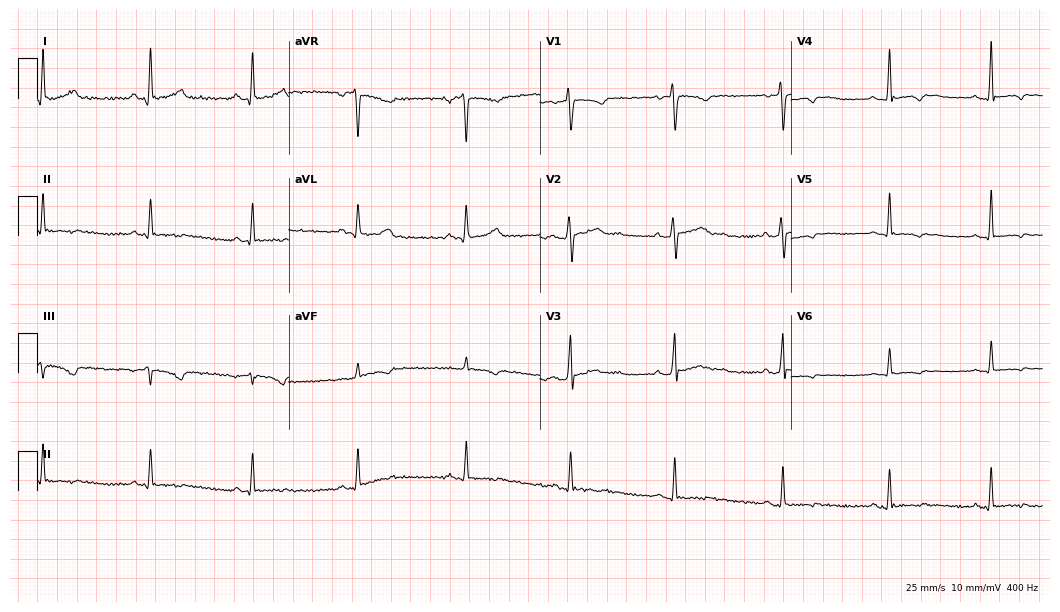
Standard 12-lead ECG recorded from a 44-year-old female (10.2-second recording at 400 Hz). None of these six findings is recorded: first-degree AV block, right bundle branch block (RBBB), left bundle branch block (LBBB), sinus bradycardia, atrial fibrillation (AF), sinus tachycardia. Other findings, if any, are not listed.